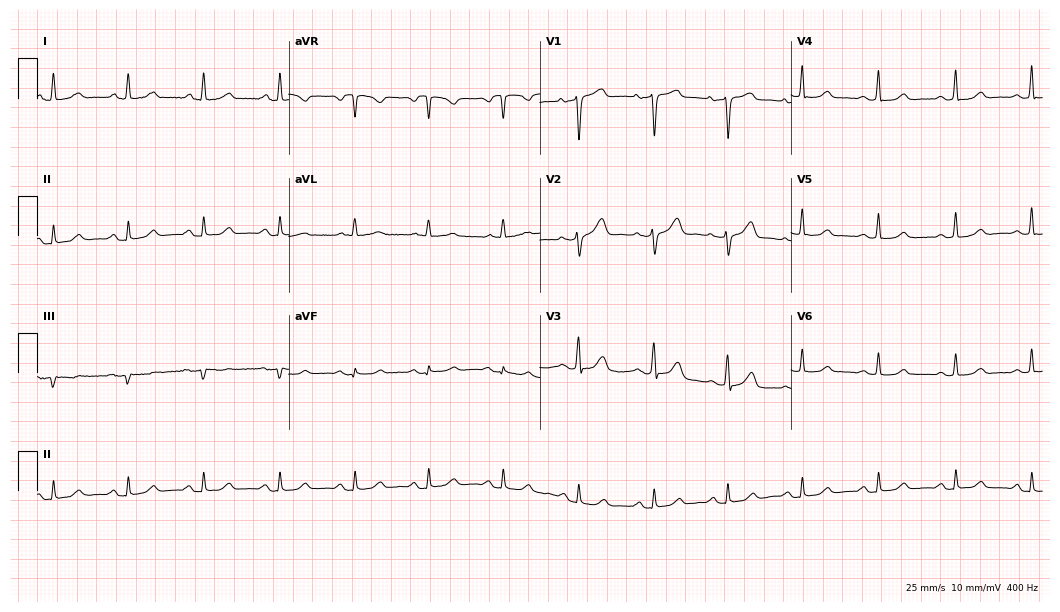
Resting 12-lead electrocardiogram. Patient: a 50-year-old female. Read as a normal ECG.